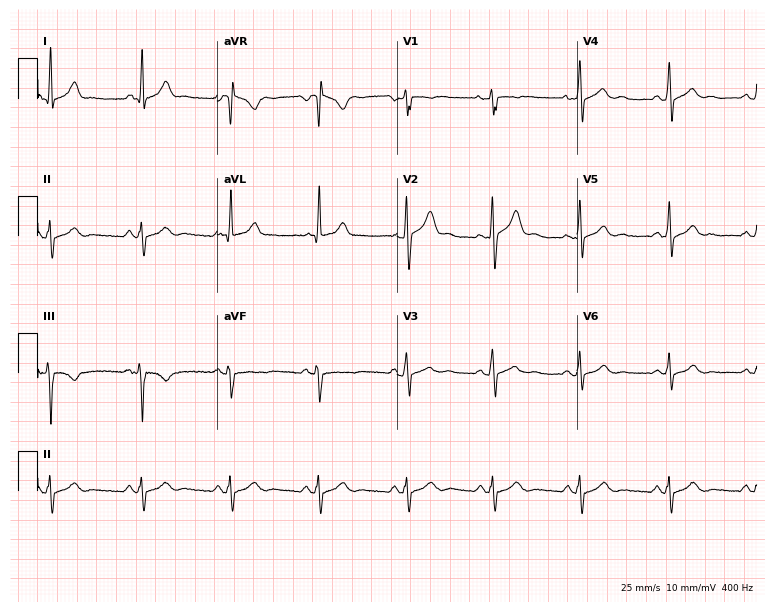
12-lead ECG (7.3-second recording at 400 Hz) from a male patient, 19 years old. Screened for six findings — first-degree AV block, right bundle branch block, left bundle branch block, sinus bradycardia, atrial fibrillation, sinus tachycardia — none is recorded. Only these six findings were labelled.